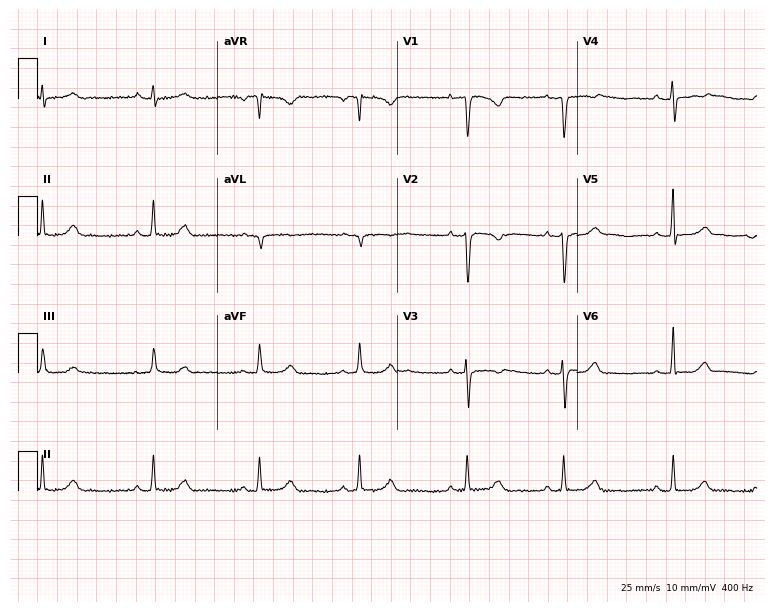
ECG (7.3-second recording at 400 Hz) — a 30-year-old woman. Labelled as a normal ECG.